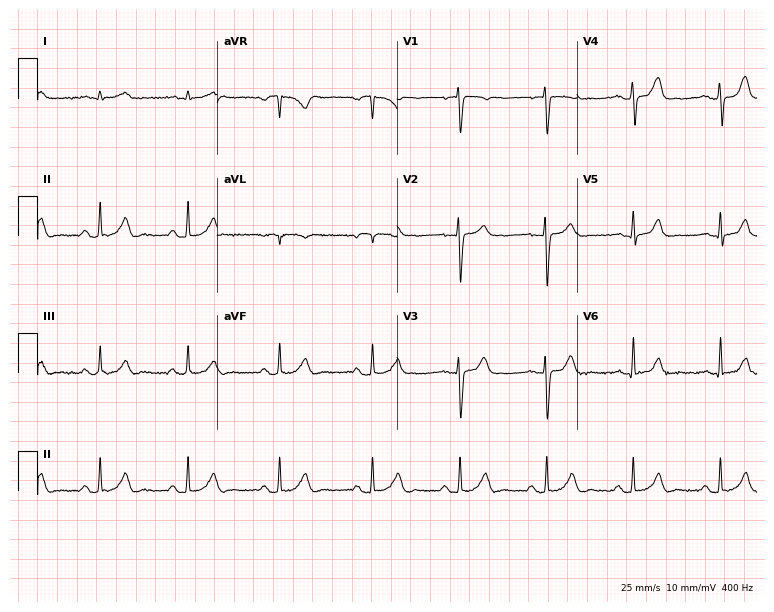
Resting 12-lead electrocardiogram. Patient: a male, 40 years old. Read as a normal ECG.